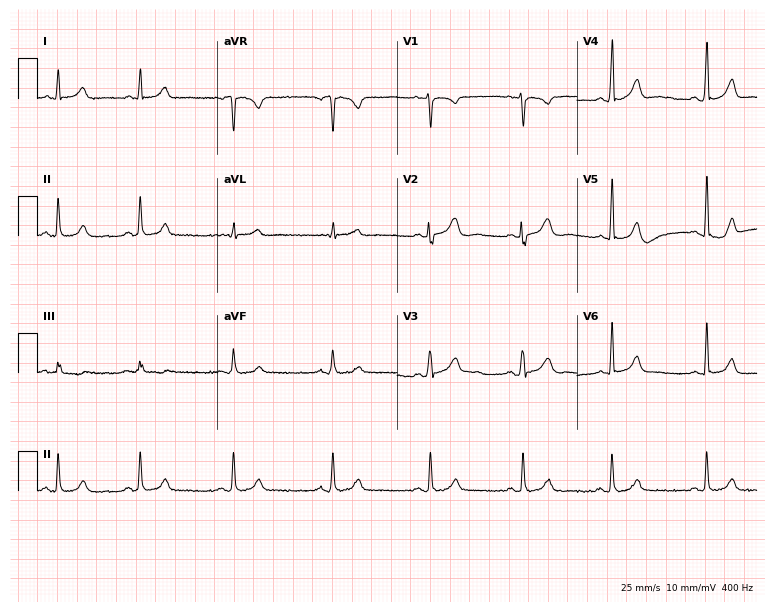
Standard 12-lead ECG recorded from a female, 23 years old (7.3-second recording at 400 Hz). Read as a normal ECG.